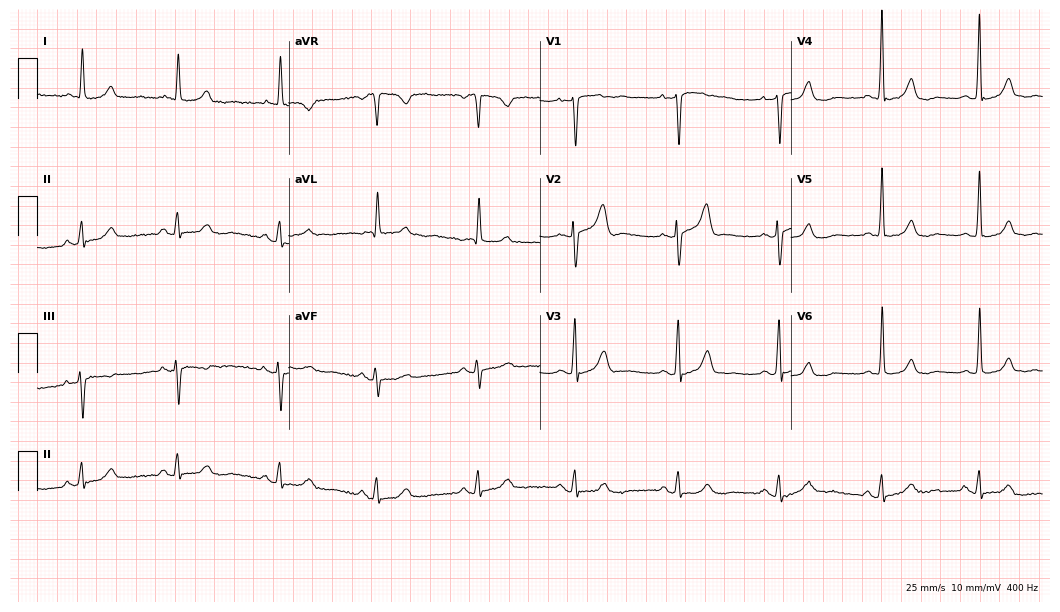
12-lead ECG from a 77-year-old female. Recorded interpretation: within normal limits.